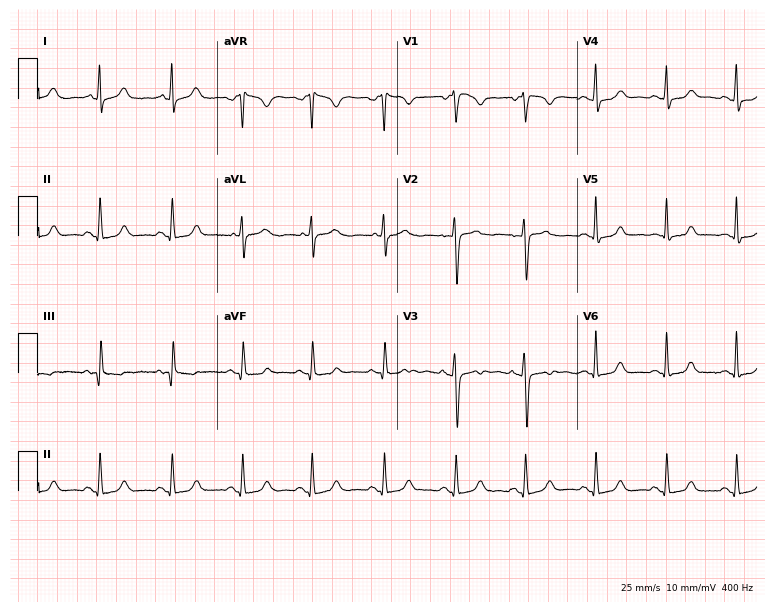
Electrocardiogram, a female, 35 years old. Overall reading on record: normal ECG.